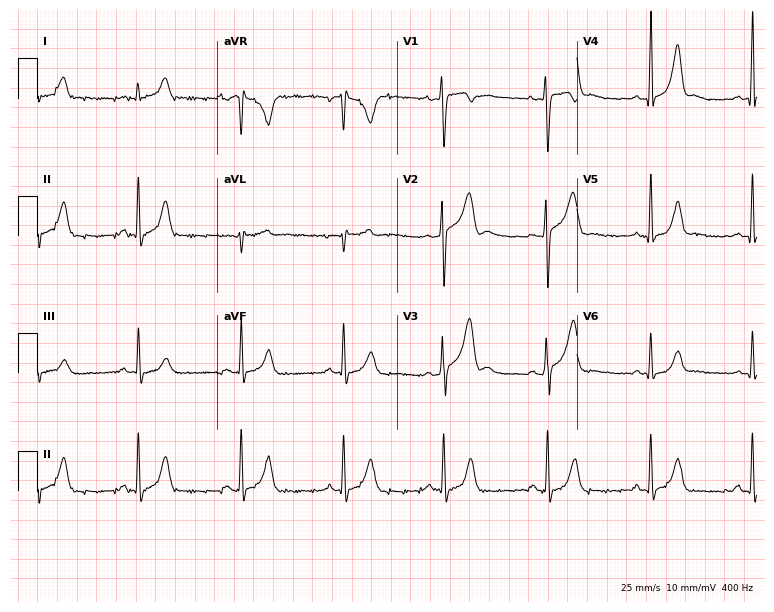
Electrocardiogram, a 29-year-old man. Overall reading on record: normal ECG.